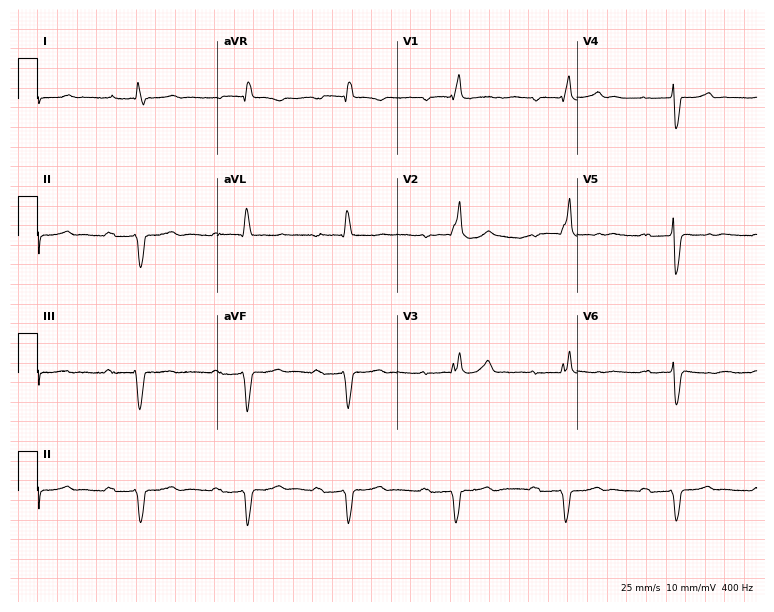
ECG — a male, 80 years old. Findings include first-degree AV block, right bundle branch block (RBBB).